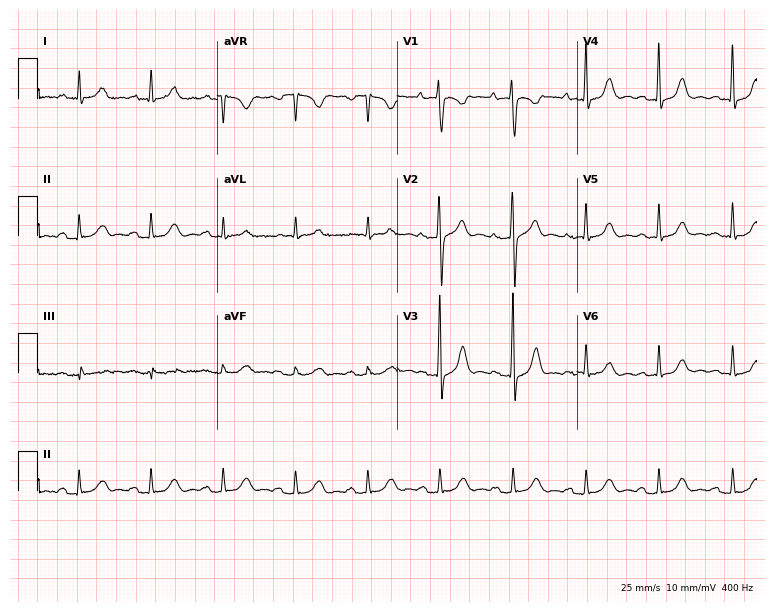
Standard 12-lead ECG recorded from a female, 71 years old (7.3-second recording at 400 Hz). Read as a normal ECG.